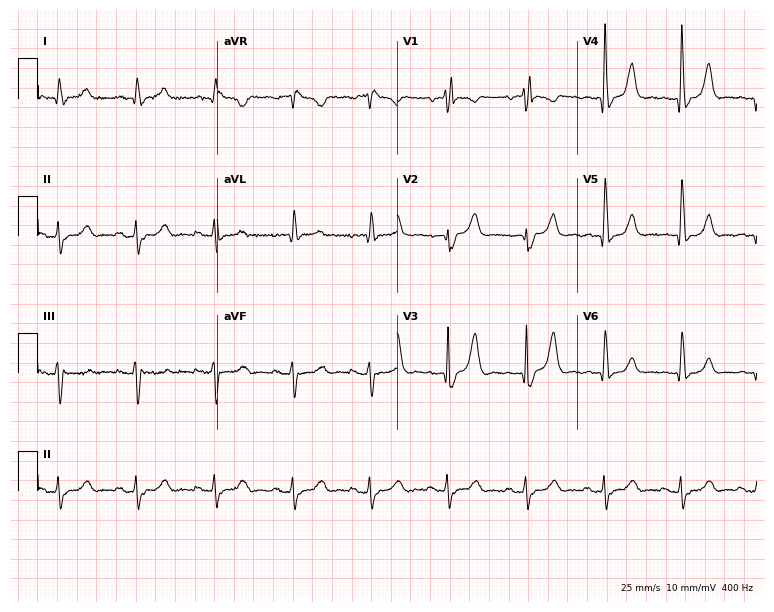
Standard 12-lead ECG recorded from a 78-year-old male (7.3-second recording at 400 Hz). The tracing shows right bundle branch block (RBBB).